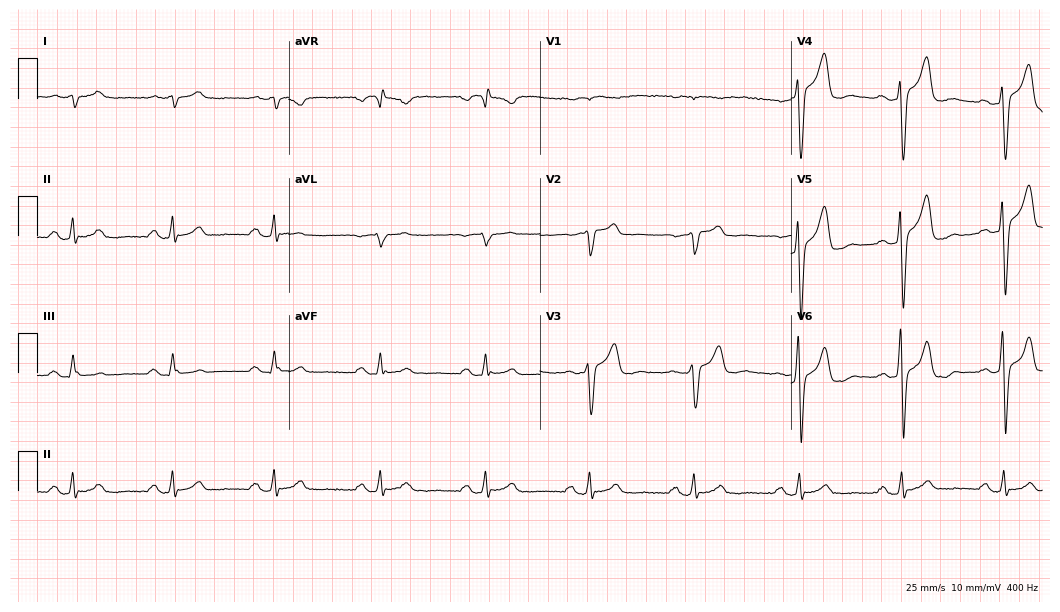
12-lead ECG (10.2-second recording at 400 Hz) from a male patient, 52 years old. Screened for six findings — first-degree AV block, right bundle branch block (RBBB), left bundle branch block (LBBB), sinus bradycardia, atrial fibrillation (AF), sinus tachycardia — none is recorded.